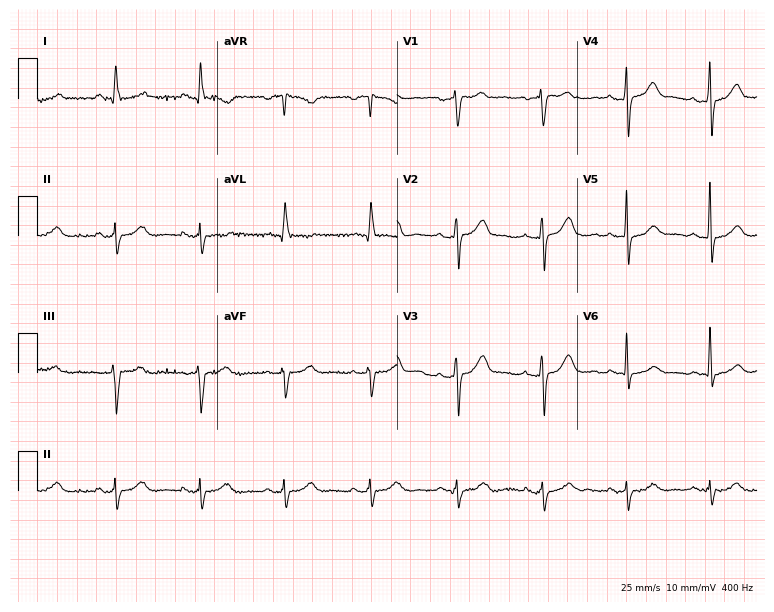
Standard 12-lead ECG recorded from a female patient, 52 years old. None of these six findings is recorded: first-degree AV block, right bundle branch block, left bundle branch block, sinus bradycardia, atrial fibrillation, sinus tachycardia.